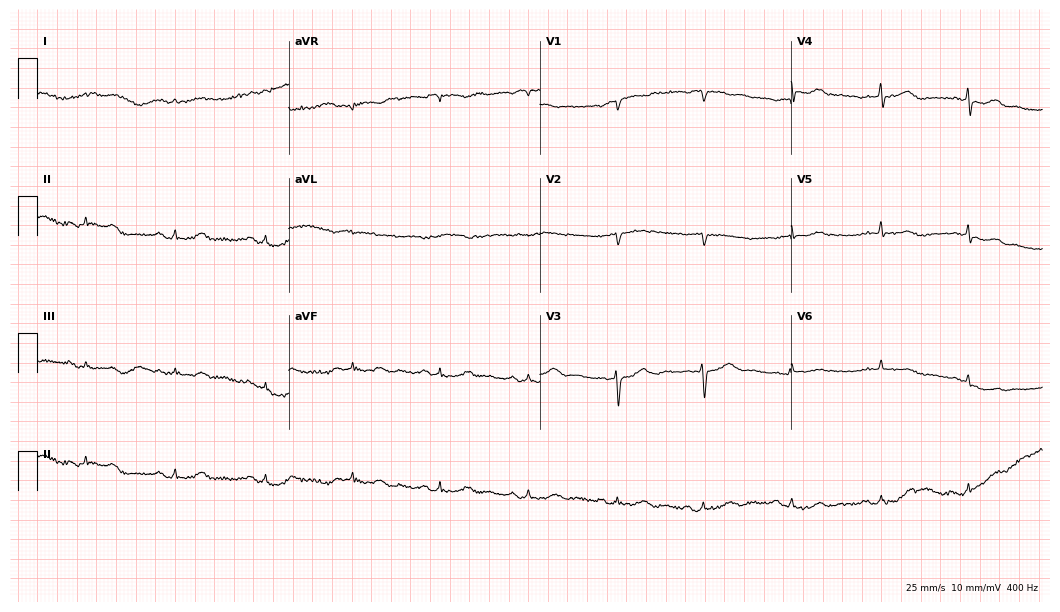
12-lead ECG from a man, 85 years old (10.2-second recording at 400 Hz). No first-degree AV block, right bundle branch block (RBBB), left bundle branch block (LBBB), sinus bradycardia, atrial fibrillation (AF) or sinus tachycardia recorded for this tracing. Only these six findings were labelled.